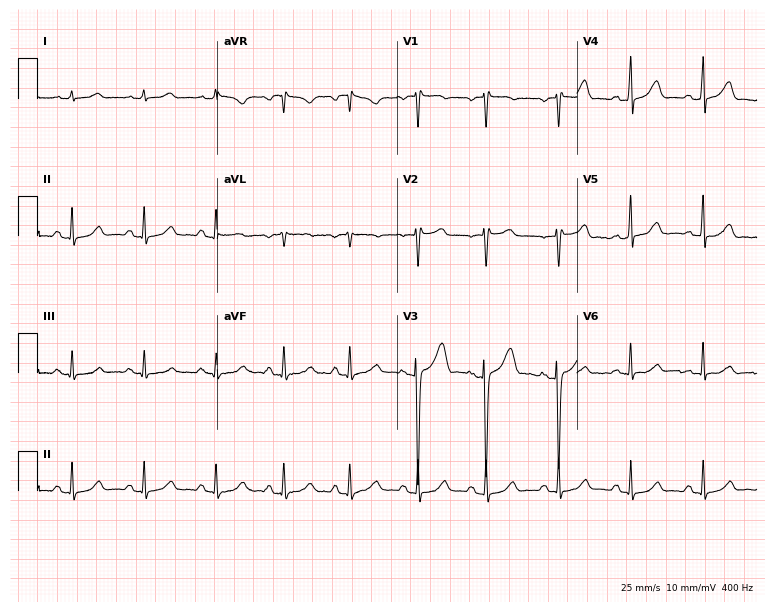
Resting 12-lead electrocardiogram. Patient: a female, 46 years old. Read as a normal ECG.